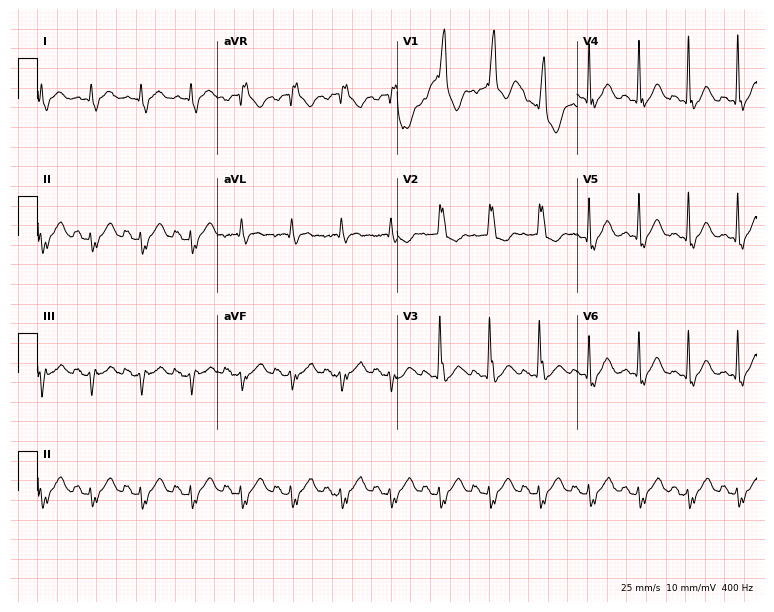
Standard 12-lead ECG recorded from an 84-year-old male patient. None of these six findings is recorded: first-degree AV block, right bundle branch block, left bundle branch block, sinus bradycardia, atrial fibrillation, sinus tachycardia. Only these six findings were labelled.